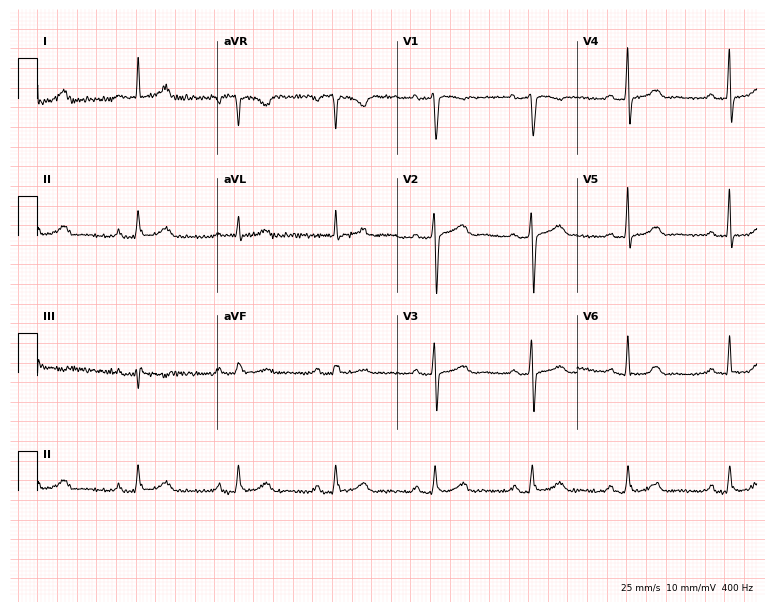
Standard 12-lead ECG recorded from a female, 61 years old (7.3-second recording at 400 Hz). Read as a normal ECG.